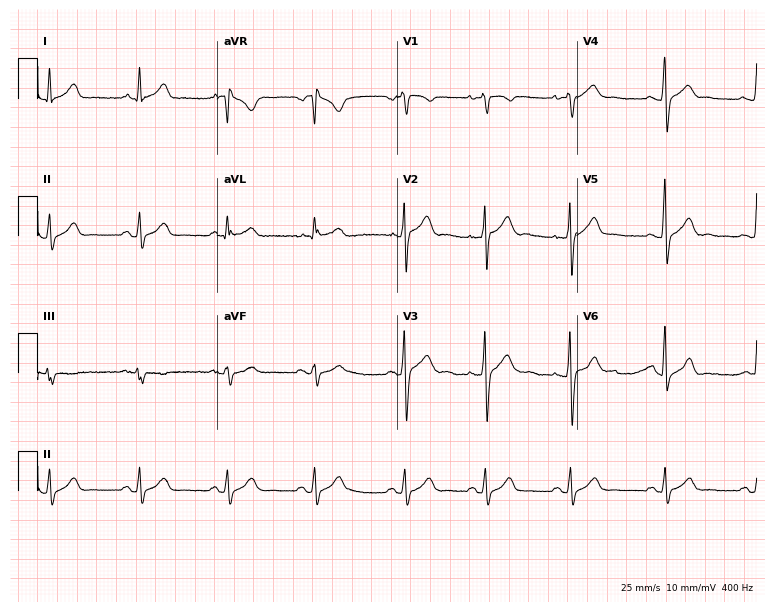
12-lead ECG from a male patient, 27 years old. Recorded interpretation: within normal limits.